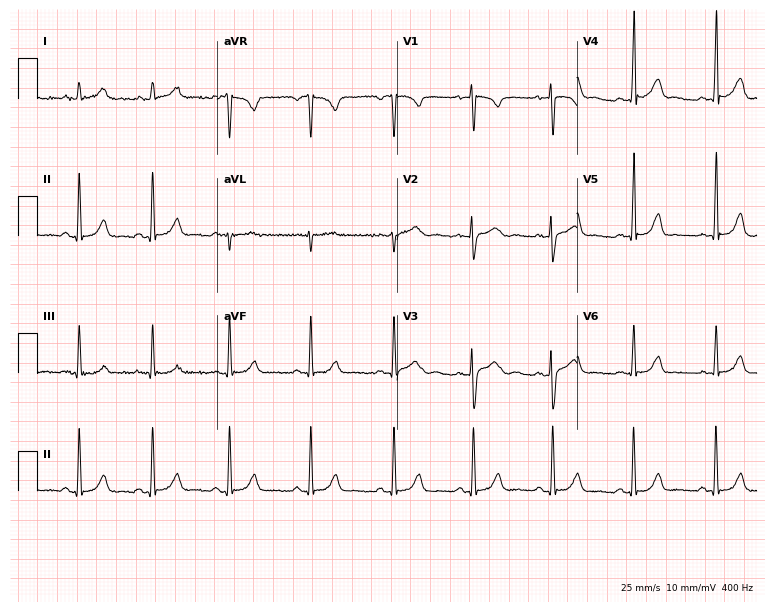
12-lead ECG from a woman, 31 years old. Recorded interpretation: within normal limits.